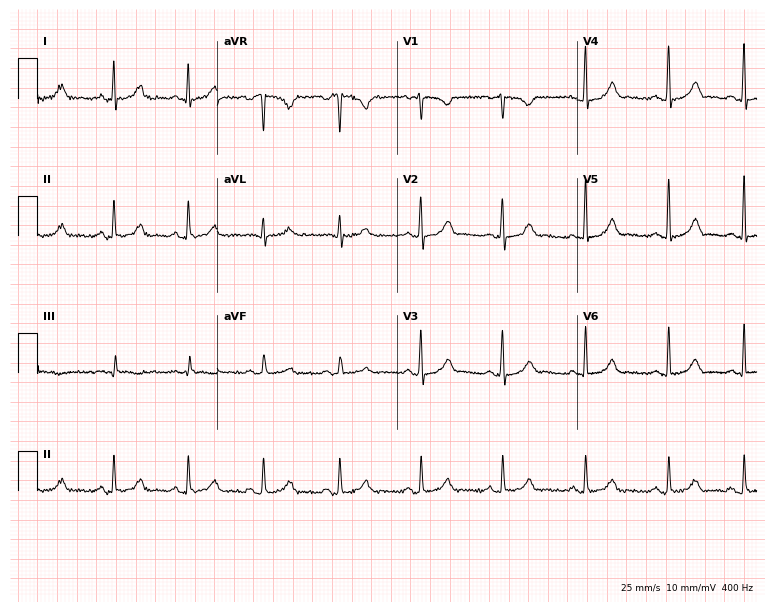
12-lead ECG from a woman, 30 years old. Labelled as a normal ECG.